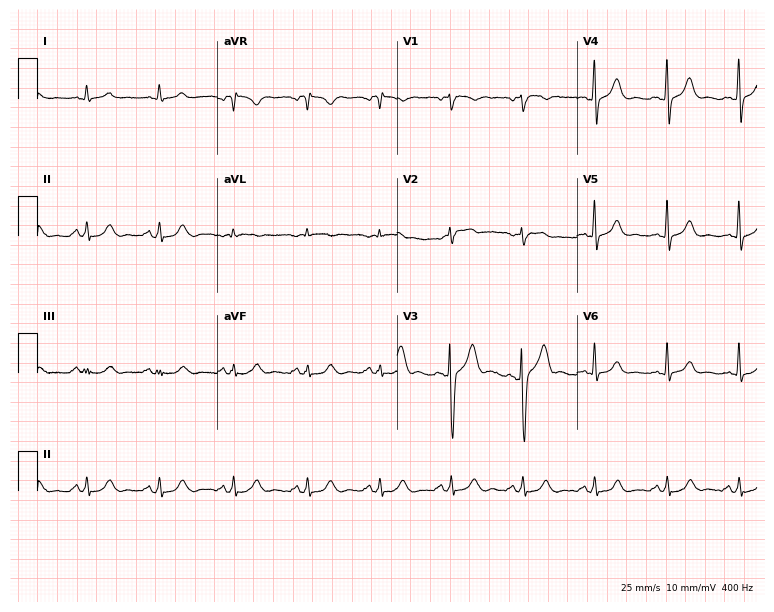
Electrocardiogram, a male patient, 43 years old. Overall reading on record: normal ECG.